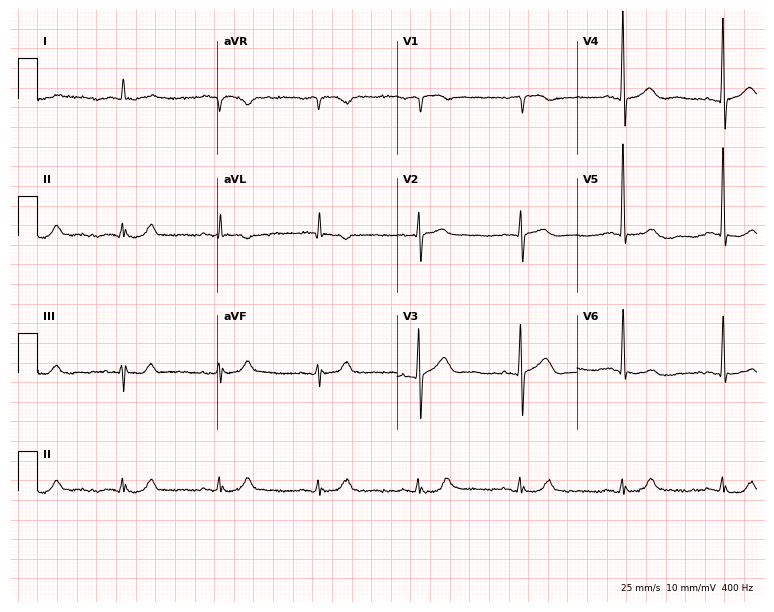
12-lead ECG from an 84-year-old male patient. No first-degree AV block, right bundle branch block, left bundle branch block, sinus bradycardia, atrial fibrillation or sinus tachycardia recorded for this tracing. Findings outside these six are not listed.